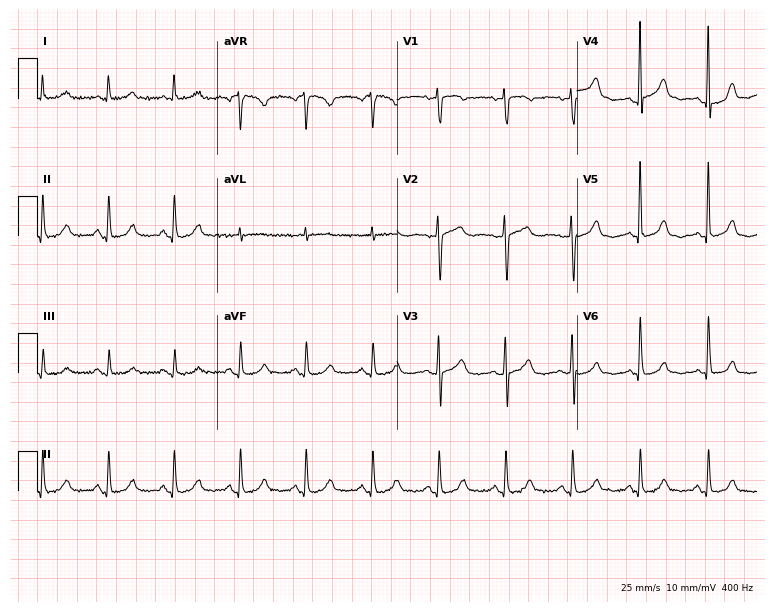
ECG (7.3-second recording at 400 Hz) — a 69-year-old female. Labelled as a normal ECG.